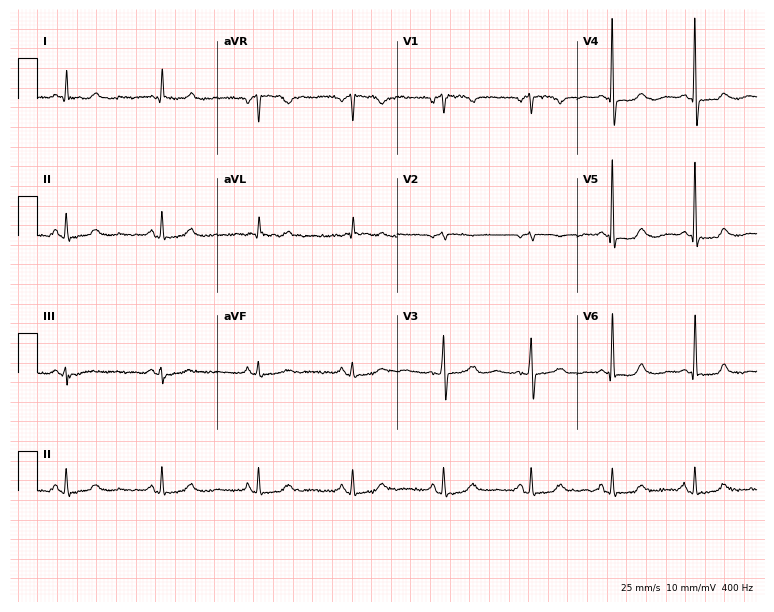
ECG (7.3-second recording at 400 Hz) — an 85-year-old man. Screened for six findings — first-degree AV block, right bundle branch block, left bundle branch block, sinus bradycardia, atrial fibrillation, sinus tachycardia — none is recorded.